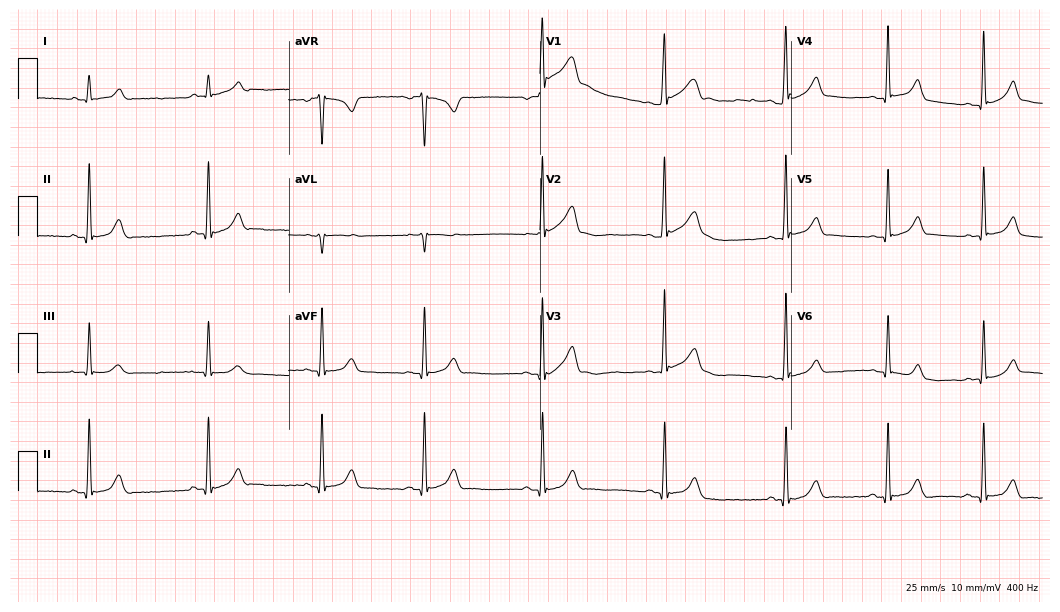
Resting 12-lead electrocardiogram. Patient: a 27-year-old male. None of these six findings is recorded: first-degree AV block, right bundle branch block (RBBB), left bundle branch block (LBBB), sinus bradycardia, atrial fibrillation (AF), sinus tachycardia.